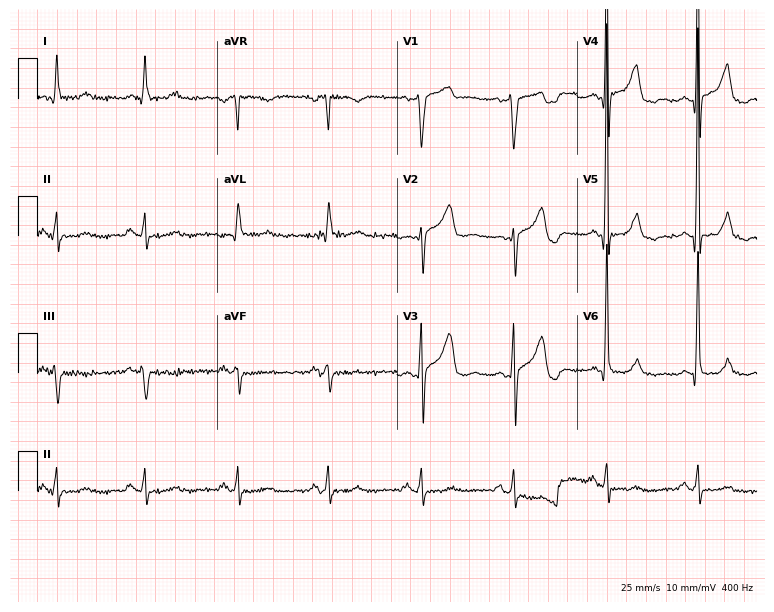
Electrocardiogram (7.3-second recording at 400 Hz), a male patient, 59 years old. Of the six screened findings (first-degree AV block, right bundle branch block (RBBB), left bundle branch block (LBBB), sinus bradycardia, atrial fibrillation (AF), sinus tachycardia), none is recorded. Other findings, if any, are not listed.